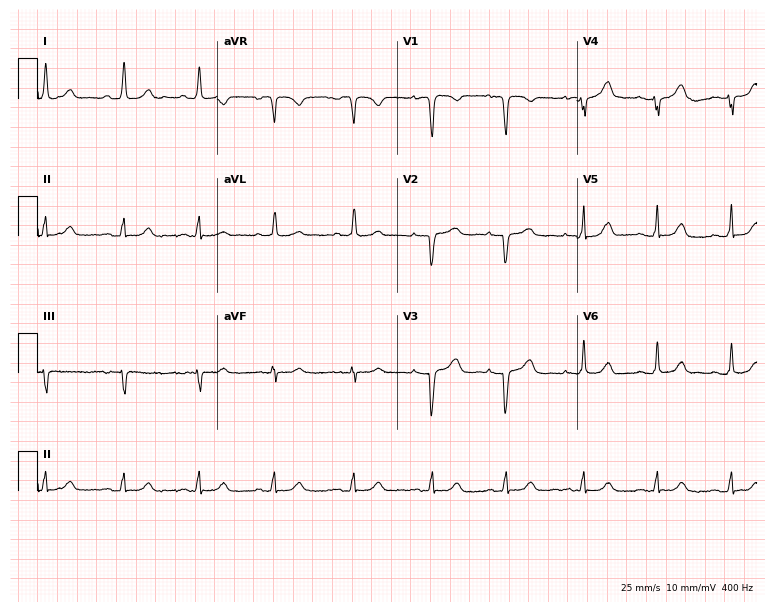
Resting 12-lead electrocardiogram (7.3-second recording at 400 Hz). Patient: a female, 49 years old. None of these six findings is recorded: first-degree AV block, right bundle branch block, left bundle branch block, sinus bradycardia, atrial fibrillation, sinus tachycardia. Findings outside these six are not listed.